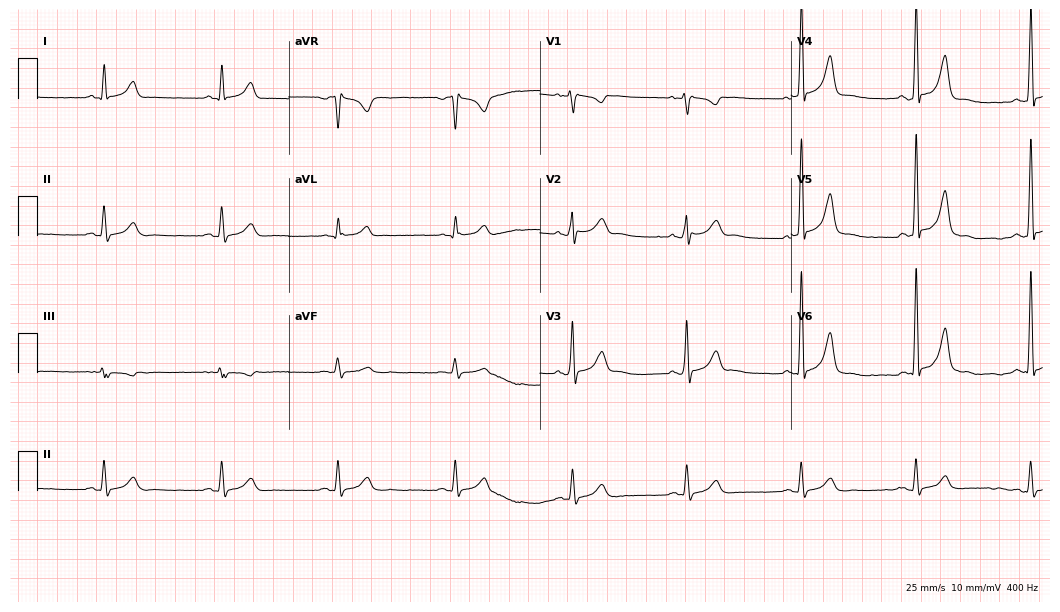
12-lead ECG from a male patient, 50 years old. Recorded interpretation: within normal limits.